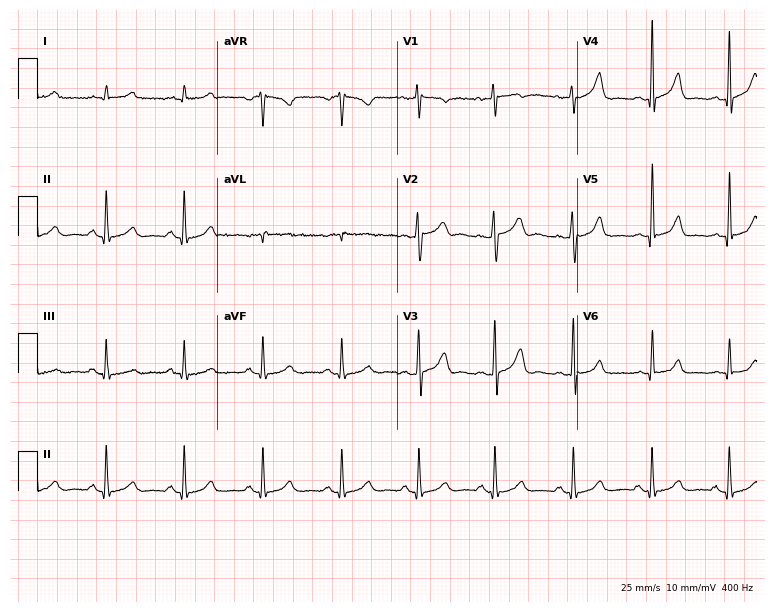
Standard 12-lead ECG recorded from a male patient, 56 years old. None of these six findings is recorded: first-degree AV block, right bundle branch block (RBBB), left bundle branch block (LBBB), sinus bradycardia, atrial fibrillation (AF), sinus tachycardia. Only these six findings were labelled.